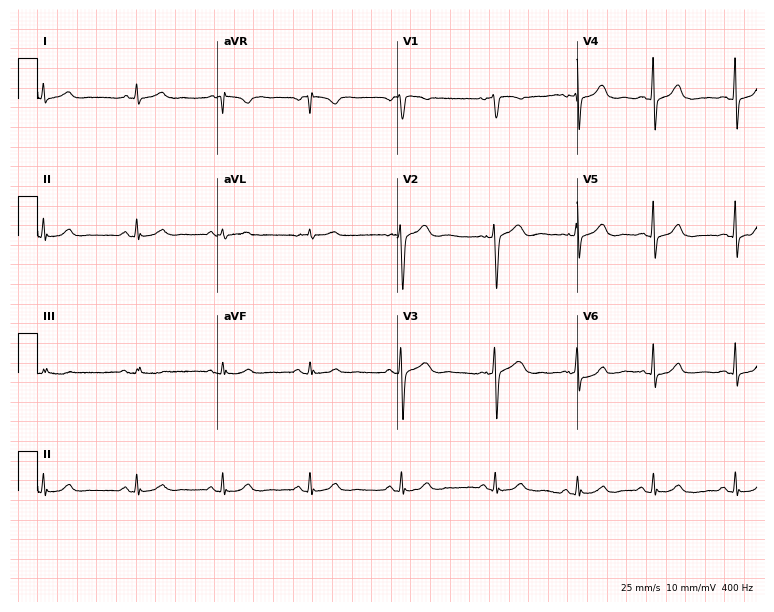
12-lead ECG from a woman, 49 years old. Labelled as a normal ECG.